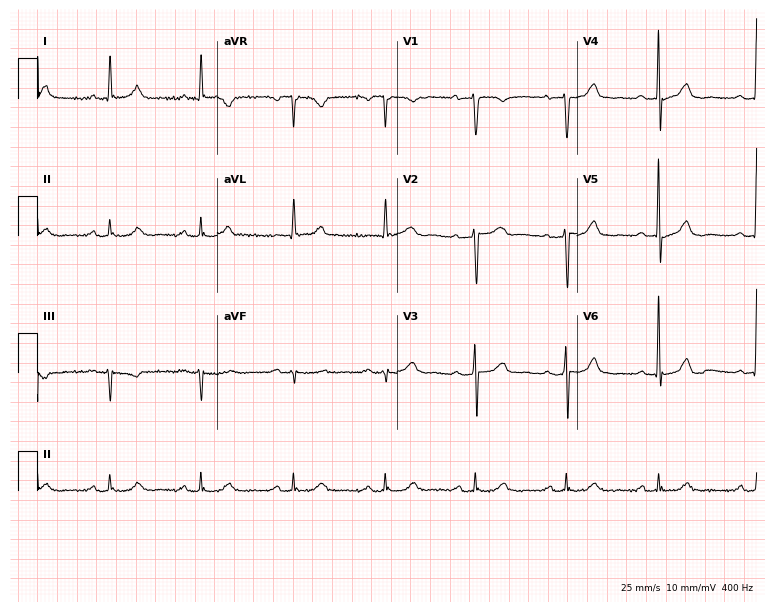
Resting 12-lead electrocardiogram. Patient: an 83-year-old female. None of these six findings is recorded: first-degree AV block, right bundle branch block, left bundle branch block, sinus bradycardia, atrial fibrillation, sinus tachycardia. Only these six findings were labelled.